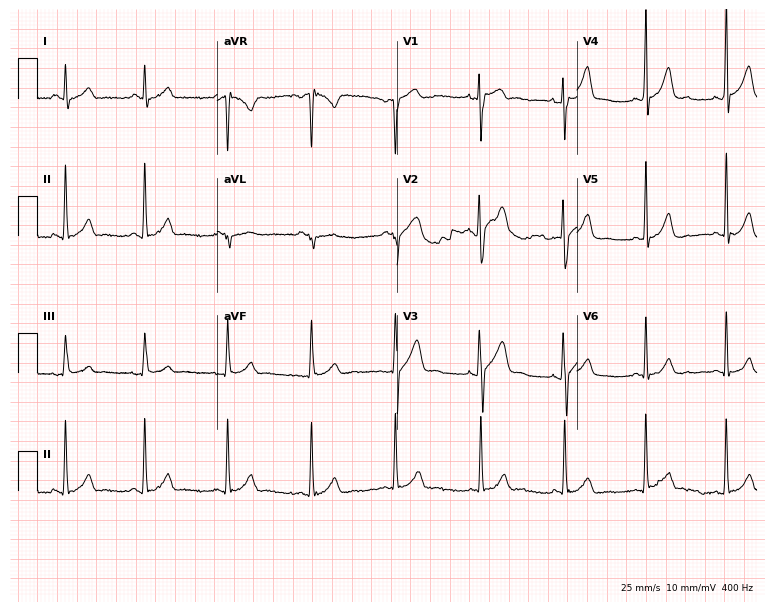
Electrocardiogram, a male patient, 19 years old. Of the six screened findings (first-degree AV block, right bundle branch block (RBBB), left bundle branch block (LBBB), sinus bradycardia, atrial fibrillation (AF), sinus tachycardia), none is recorded.